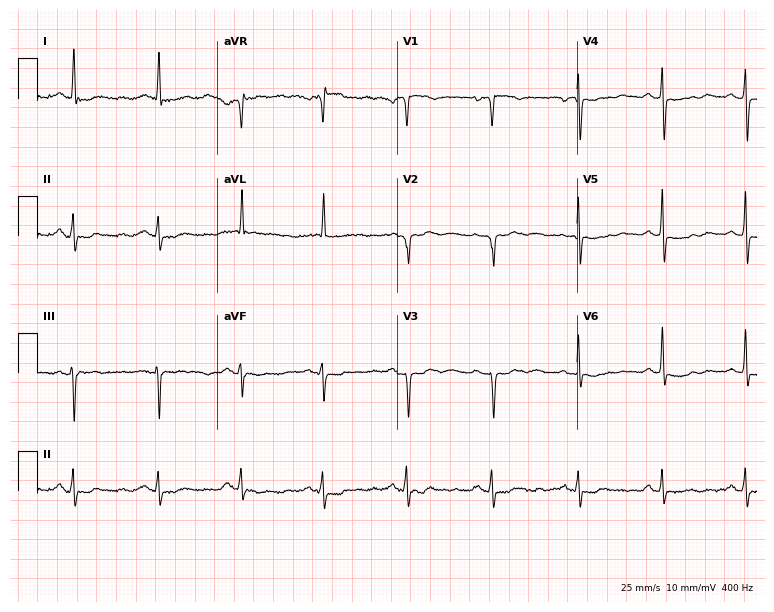
Standard 12-lead ECG recorded from a woman, 70 years old (7.3-second recording at 400 Hz). None of these six findings is recorded: first-degree AV block, right bundle branch block, left bundle branch block, sinus bradycardia, atrial fibrillation, sinus tachycardia.